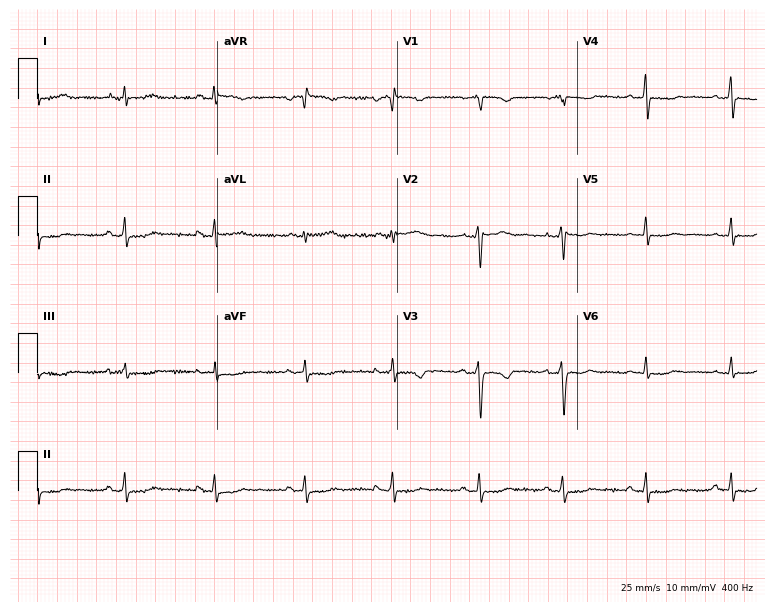
Standard 12-lead ECG recorded from a female, 37 years old (7.3-second recording at 400 Hz). None of these six findings is recorded: first-degree AV block, right bundle branch block, left bundle branch block, sinus bradycardia, atrial fibrillation, sinus tachycardia. Other findings, if any, are not listed.